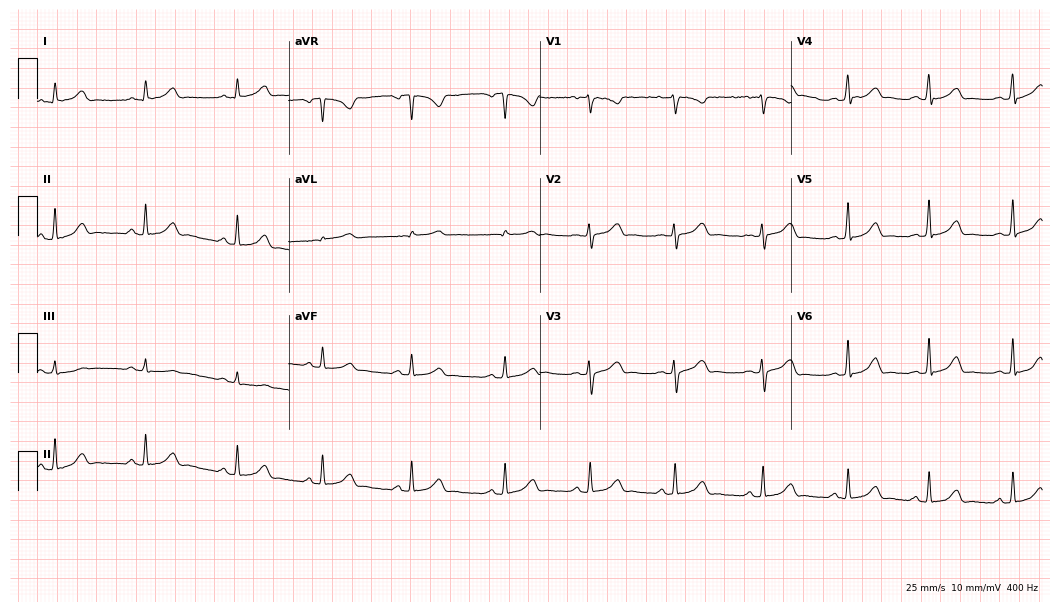
Electrocardiogram, a female, 25 years old. Overall reading on record: normal ECG.